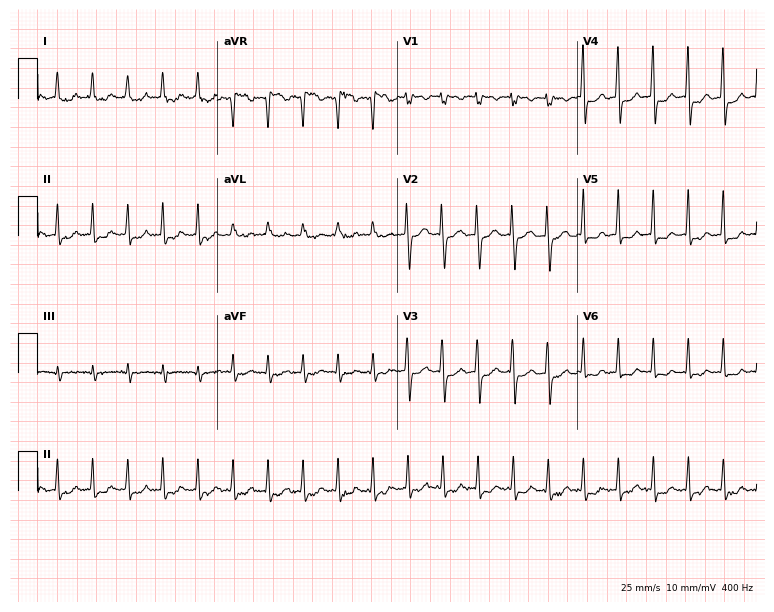
Standard 12-lead ECG recorded from a 71-year-old female. None of these six findings is recorded: first-degree AV block, right bundle branch block, left bundle branch block, sinus bradycardia, atrial fibrillation, sinus tachycardia.